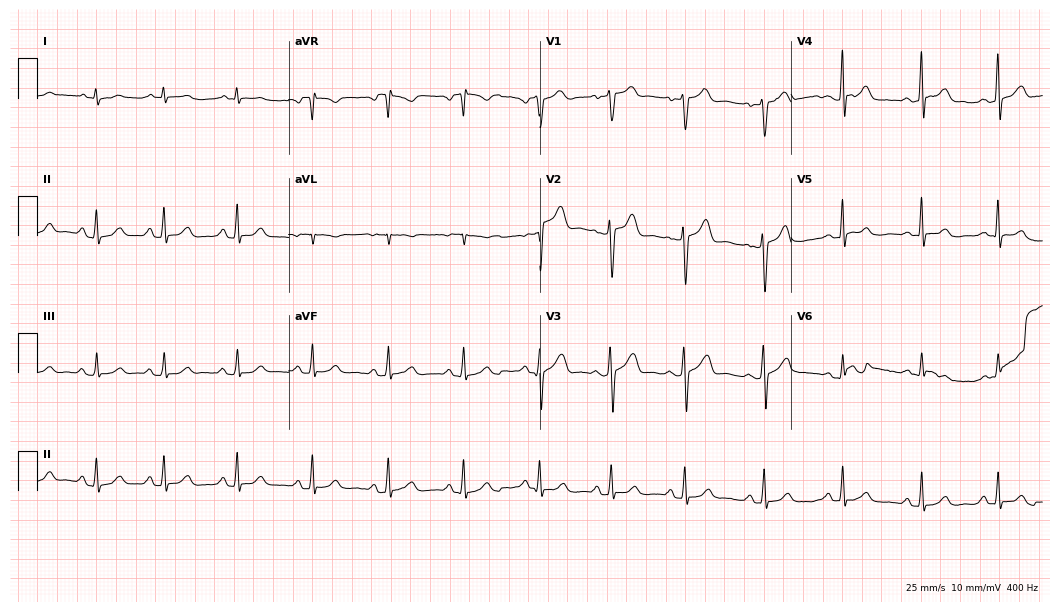
12-lead ECG from a male, 29 years old. No first-degree AV block, right bundle branch block, left bundle branch block, sinus bradycardia, atrial fibrillation or sinus tachycardia recorded for this tracing. Other findings, if any, are not listed.